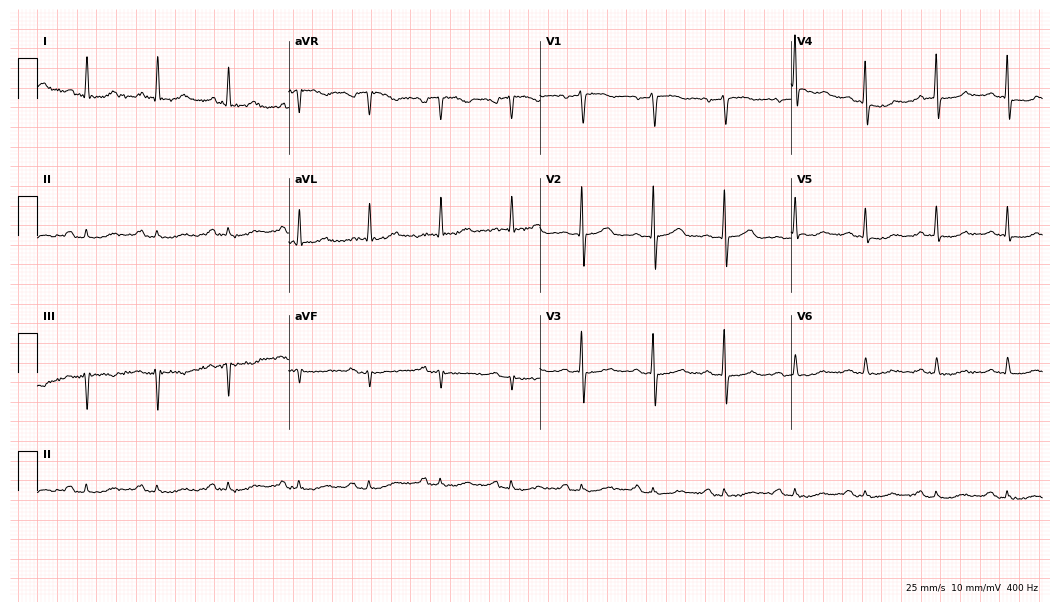
12-lead ECG (10.2-second recording at 400 Hz) from an 85-year-old male patient. Screened for six findings — first-degree AV block, right bundle branch block, left bundle branch block, sinus bradycardia, atrial fibrillation, sinus tachycardia — none is recorded. Other findings, if any, are not listed.